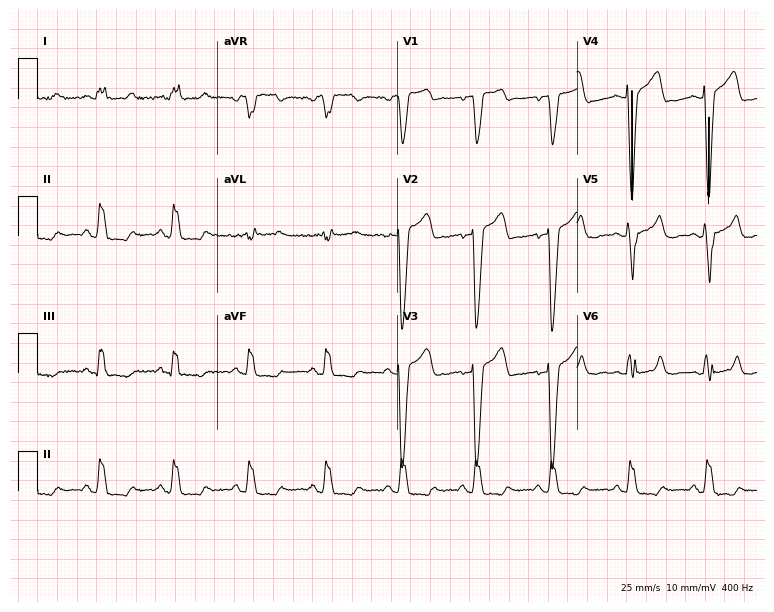
Standard 12-lead ECG recorded from a male, 66 years old (7.3-second recording at 400 Hz). The tracing shows left bundle branch block.